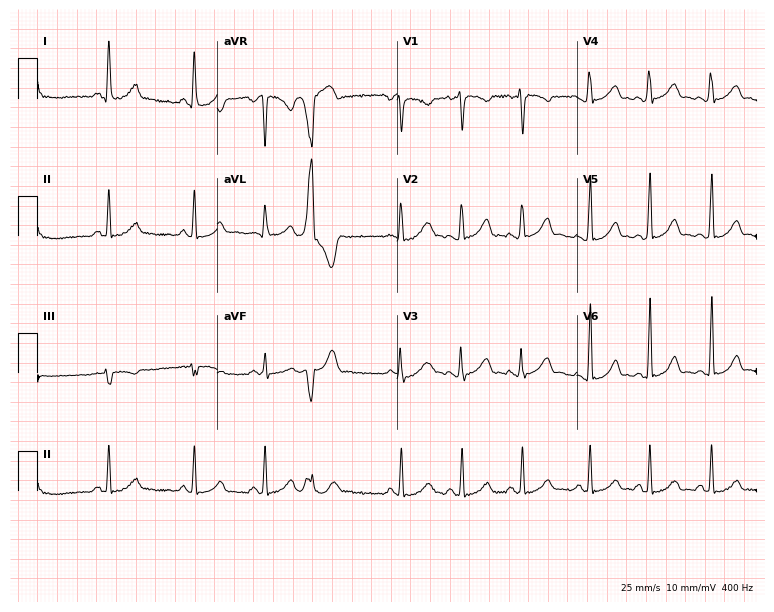
Electrocardiogram (7.3-second recording at 400 Hz), a 22-year-old female patient. Of the six screened findings (first-degree AV block, right bundle branch block, left bundle branch block, sinus bradycardia, atrial fibrillation, sinus tachycardia), none is recorded. Findings outside these six are not listed.